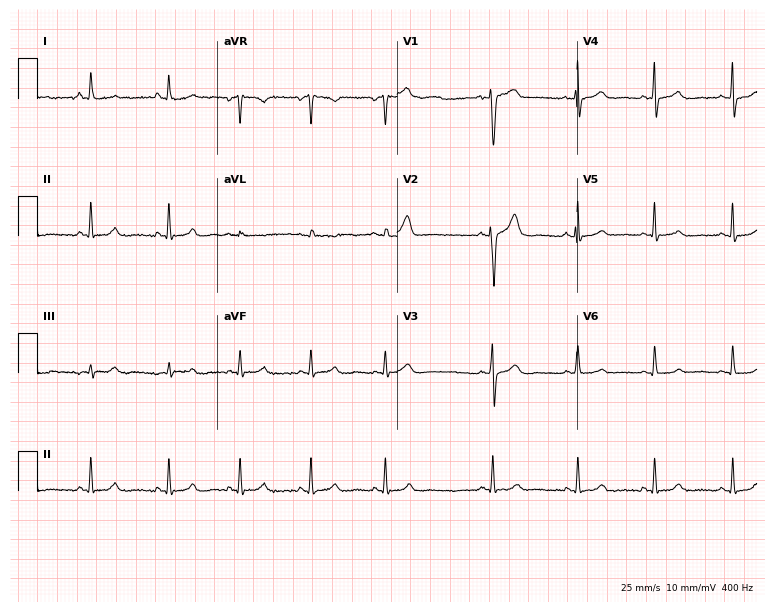
12-lead ECG from a 28-year-old female patient. Screened for six findings — first-degree AV block, right bundle branch block, left bundle branch block, sinus bradycardia, atrial fibrillation, sinus tachycardia — none is recorded. Findings outside these six are not listed.